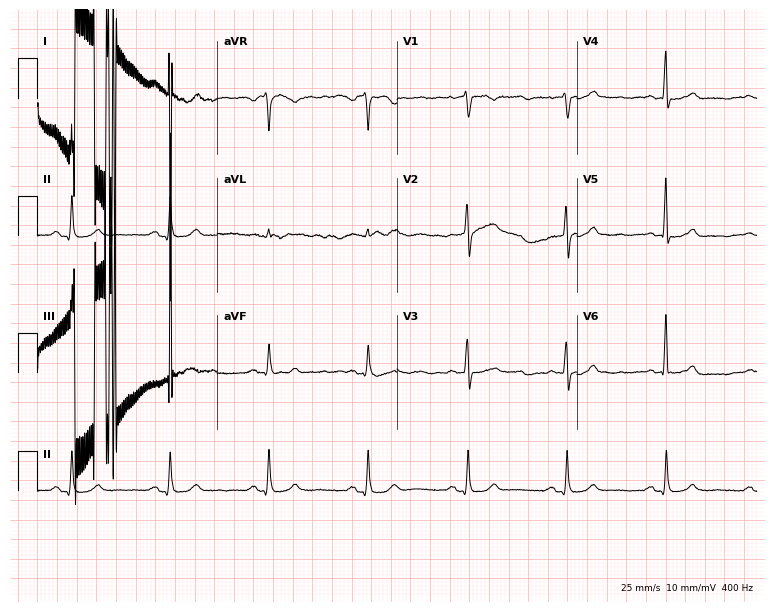
12-lead ECG from an 81-year-old male. No first-degree AV block, right bundle branch block, left bundle branch block, sinus bradycardia, atrial fibrillation or sinus tachycardia recorded for this tracing. Findings outside these six are not listed.